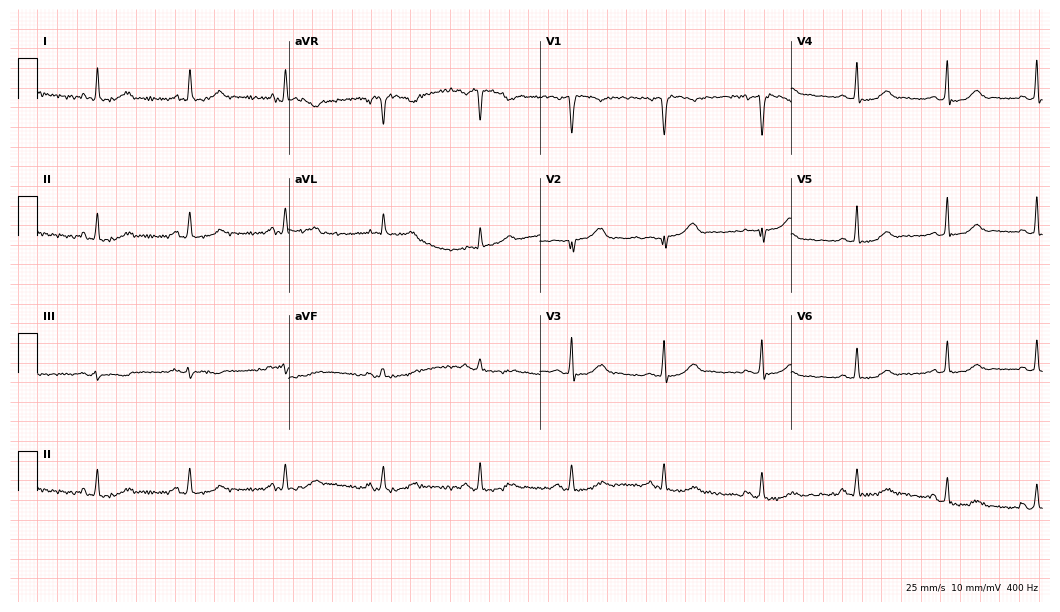
ECG — a female, 44 years old. Labelled as a normal ECG.